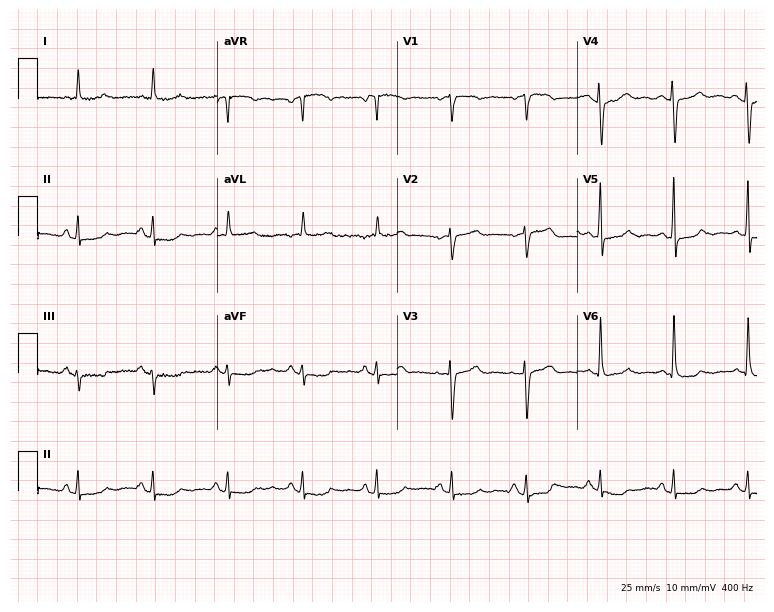
Electrocardiogram (7.3-second recording at 400 Hz), an 85-year-old woman. Overall reading on record: normal ECG.